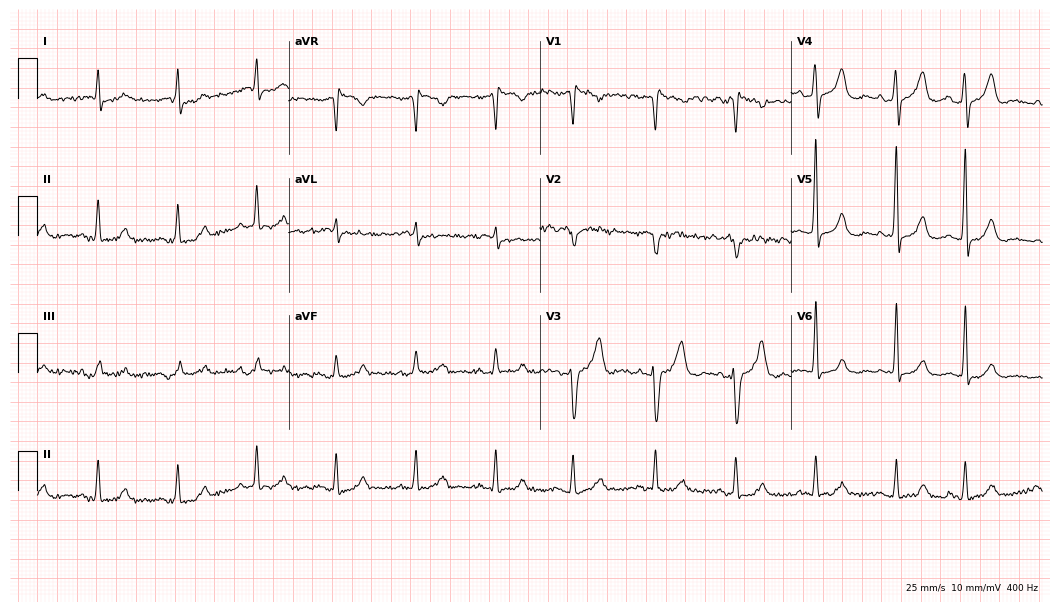
Resting 12-lead electrocardiogram (10.2-second recording at 400 Hz). Patient: an 82-year-old man. None of these six findings is recorded: first-degree AV block, right bundle branch block (RBBB), left bundle branch block (LBBB), sinus bradycardia, atrial fibrillation (AF), sinus tachycardia.